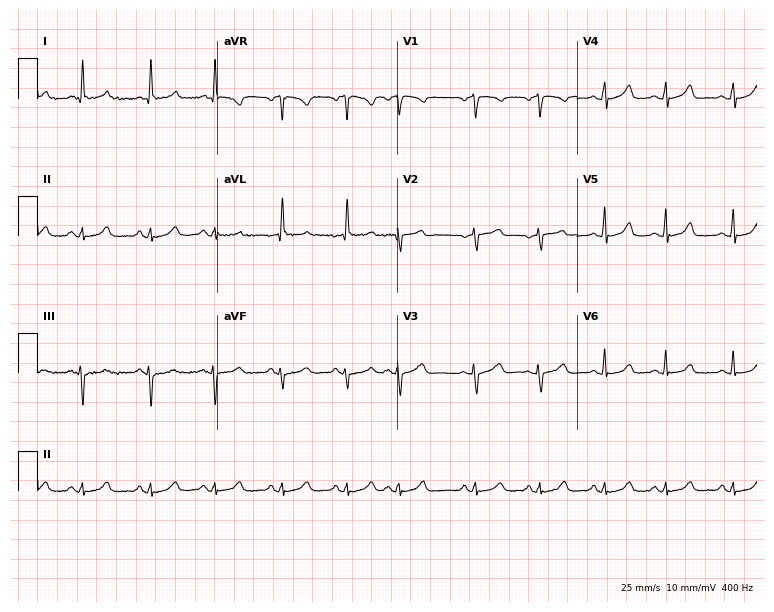
12-lead ECG (7.3-second recording at 400 Hz) from a 72-year-old woman. Screened for six findings — first-degree AV block, right bundle branch block (RBBB), left bundle branch block (LBBB), sinus bradycardia, atrial fibrillation (AF), sinus tachycardia — none is recorded.